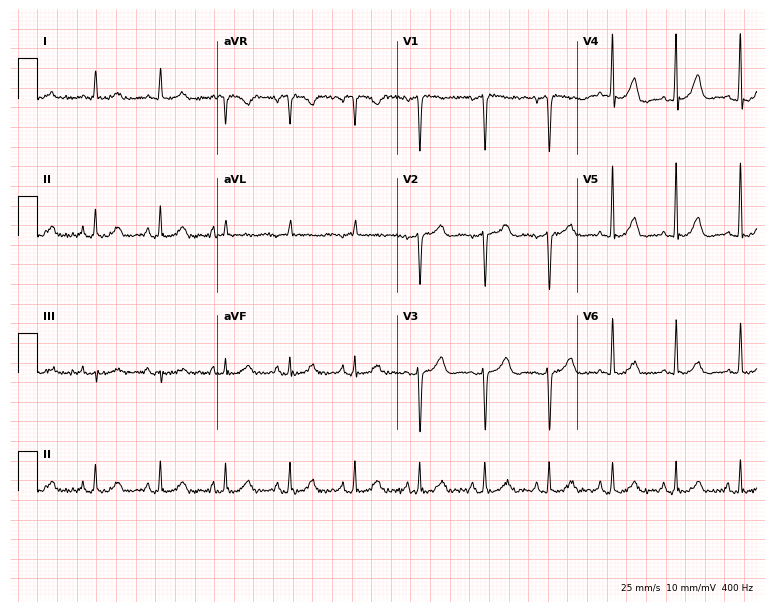
12-lead ECG from an 84-year-old female patient. Screened for six findings — first-degree AV block, right bundle branch block, left bundle branch block, sinus bradycardia, atrial fibrillation, sinus tachycardia — none is recorded. Only these six findings were labelled.